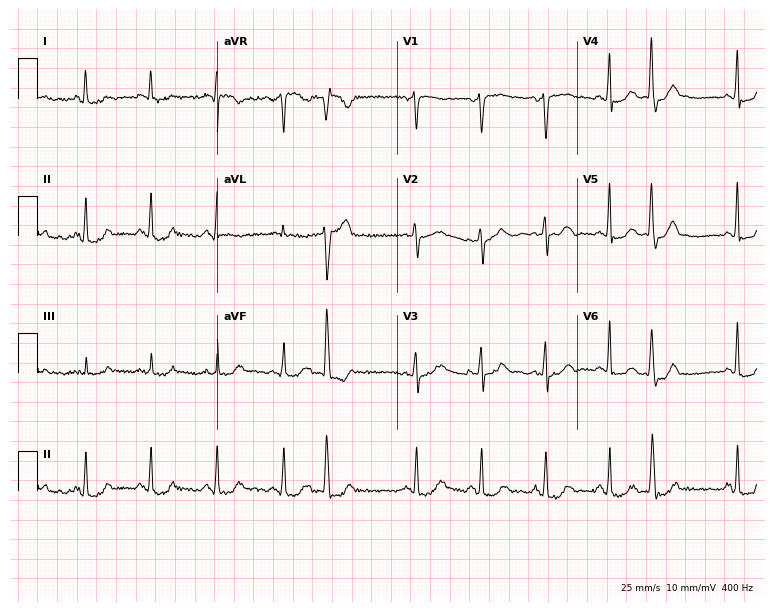
Electrocardiogram, a 54-year-old female patient. Of the six screened findings (first-degree AV block, right bundle branch block, left bundle branch block, sinus bradycardia, atrial fibrillation, sinus tachycardia), none is recorded.